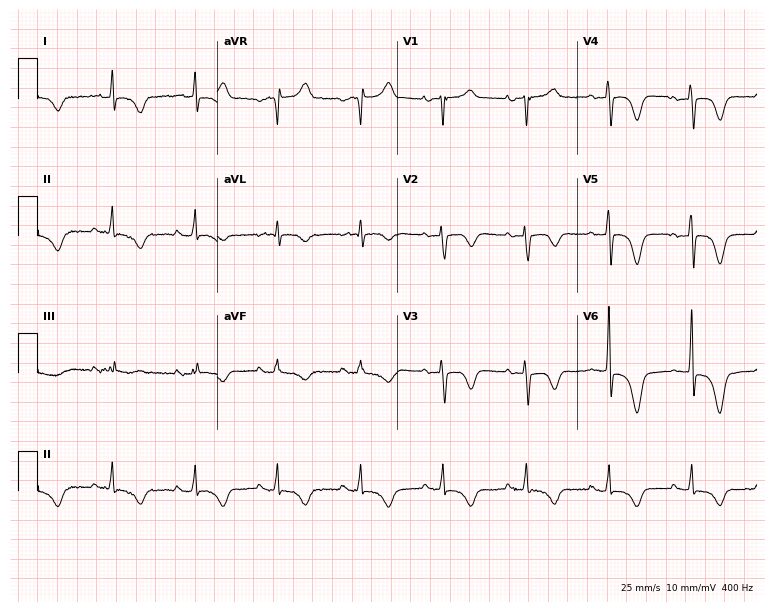
Standard 12-lead ECG recorded from an 80-year-old woman. None of these six findings is recorded: first-degree AV block, right bundle branch block (RBBB), left bundle branch block (LBBB), sinus bradycardia, atrial fibrillation (AF), sinus tachycardia.